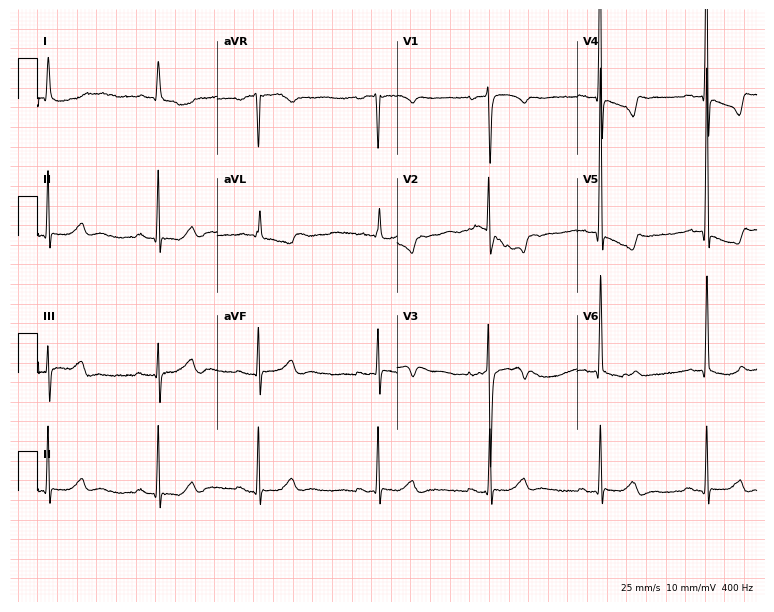
Resting 12-lead electrocardiogram (7.3-second recording at 400 Hz). Patient: a female, 84 years old. None of these six findings is recorded: first-degree AV block, right bundle branch block, left bundle branch block, sinus bradycardia, atrial fibrillation, sinus tachycardia.